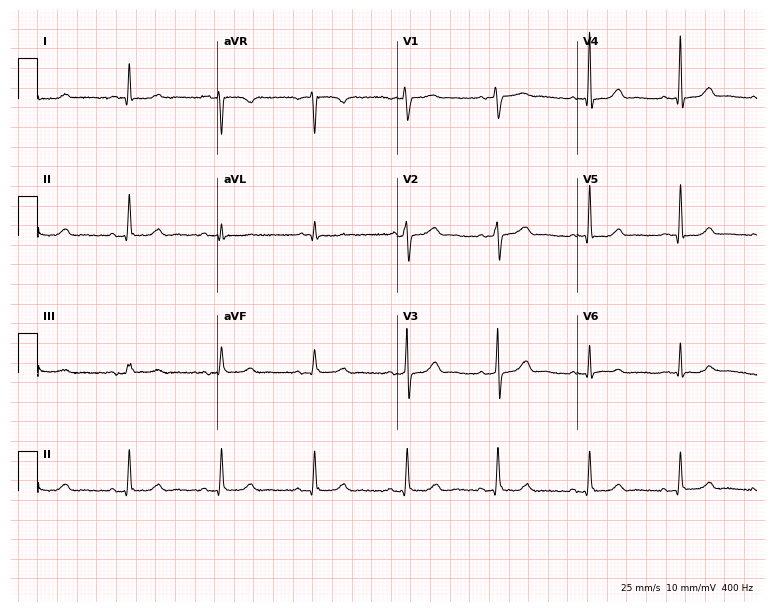
Standard 12-lead ECG recorded from a 65-year-old woman. None of these six findings is recorded: first-degree AV block, right bundle branch block (RBBB), left bundle branch block (LBBB), sinus bradycardia, atrial fibrillation (AF), sinus tachycardia. Only these six findings were labelled.